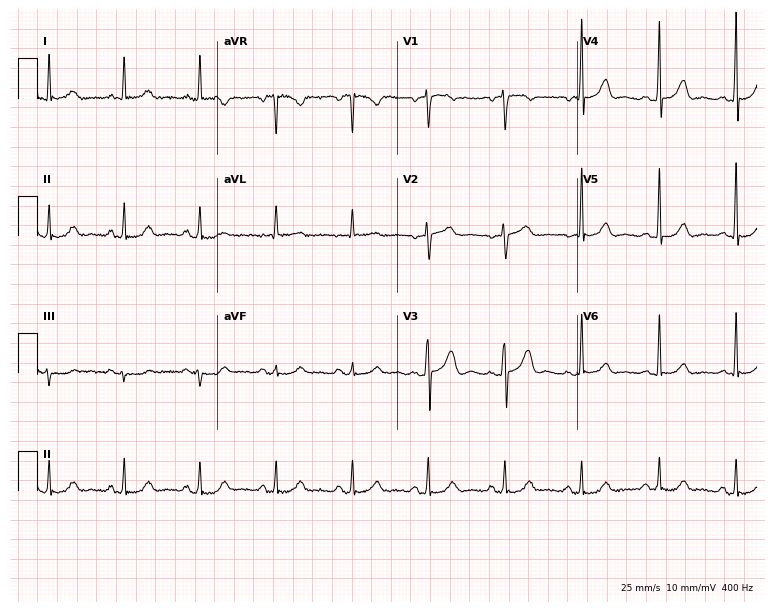
Resting 12-lead electrocardiogram (7.3-second recording at 400 Hz). Patient: a female, 68 years old. Read as a normal ECG.